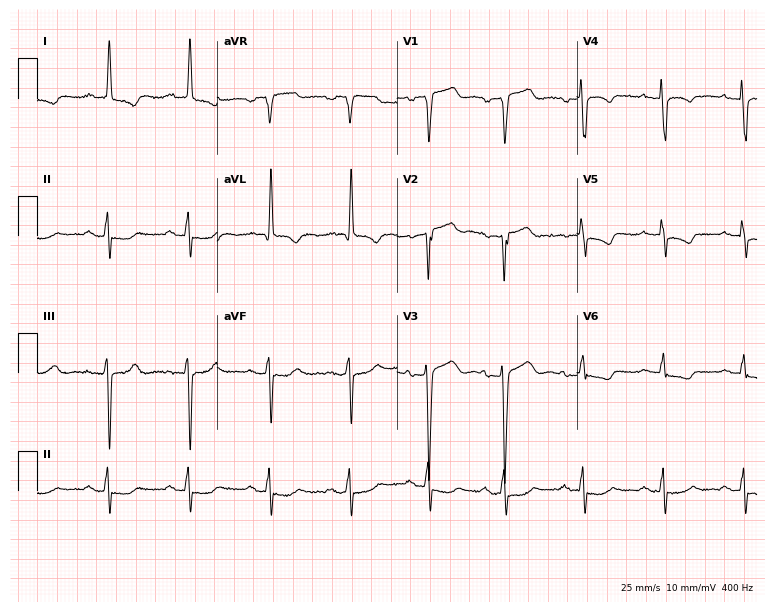
12-lead ECG from a 71-year-old female patient. No first-degree AV block, right bundle branch block (RBBB), left bundle branch block (LBBB), sinus bradycardia, atrial fibrillation (AF) or sinus tachycardia recorded for this tracing.